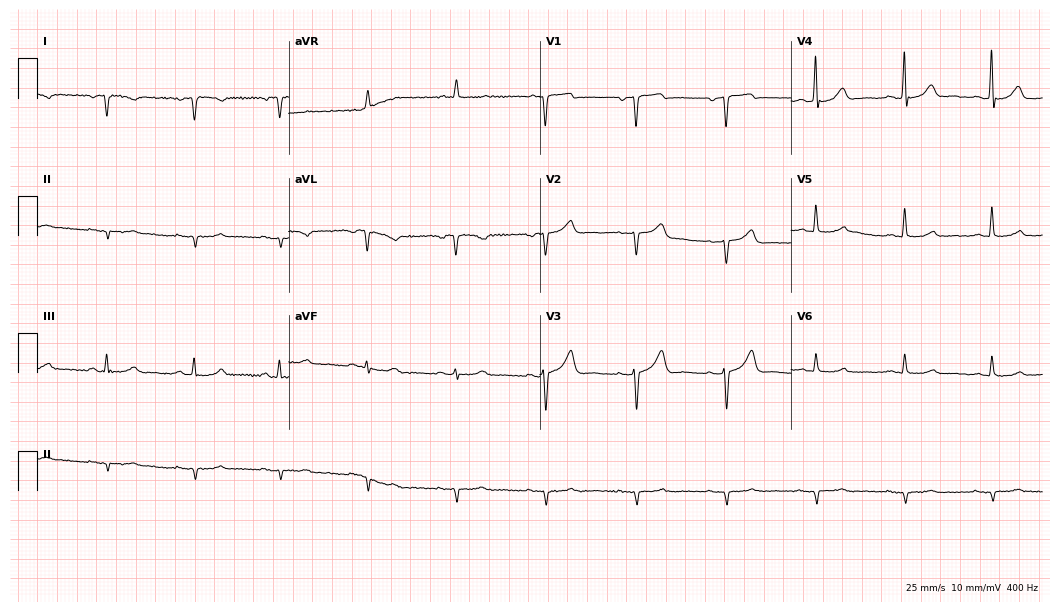
ECG (10.2-second recording at 400 Hz) — a man, 65 years old. Screened for six findings — first-degree AV block, right bundle branch block (RBBB), left bundle branch block (LBBB), sinus bradycardia, atrial fibrillation (AF), sinus tachycardia — none is recorded. Other findings, if any, are not listed.